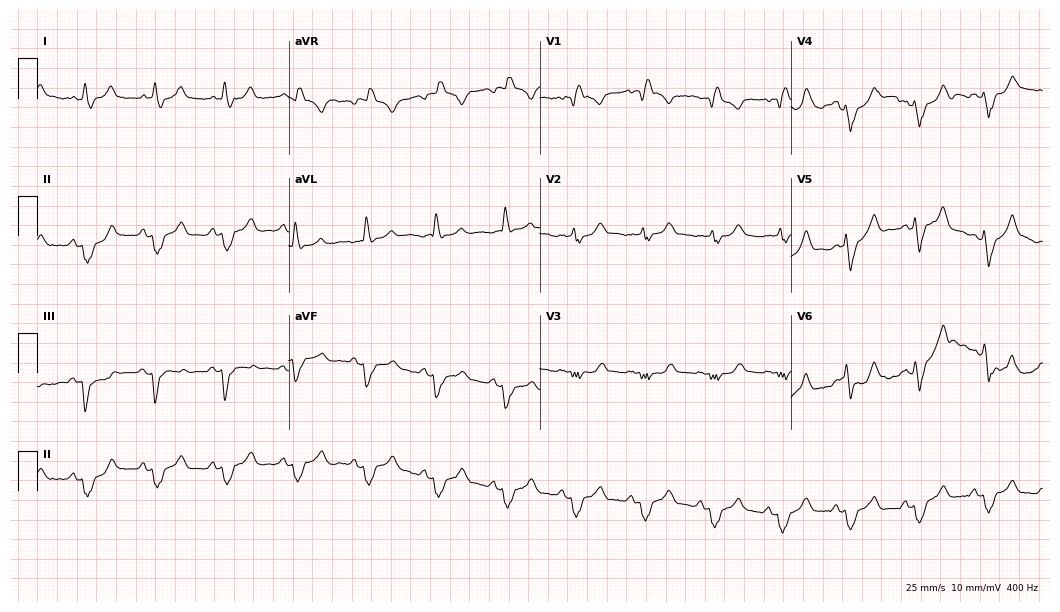
12-lead ECG from a male patient, 80 years old. Shows right bundle branch block (RBBB).